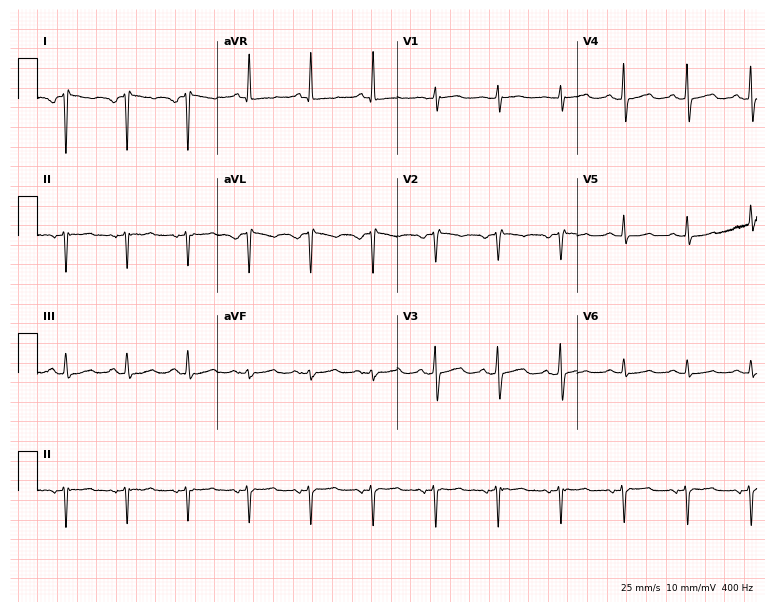
12-lead ECG from a woman, 54 years old (7.3-second recording at 400 Hz). No first-degree AV block, right bundle branch block, left bundle branch block, sinus bradycardia, atrial fibrillation or sinus tachycardia recorded for this tracing. Only these six findings were labelled.